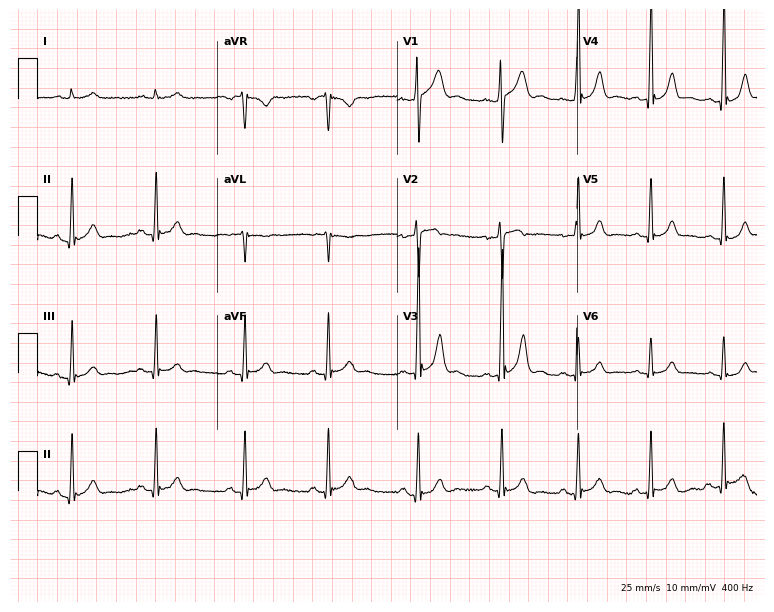
Standard 12-lead ECG recorded from a 20-year-old male (7.3-second recording at 400 Hz). Read as a normal ECG.